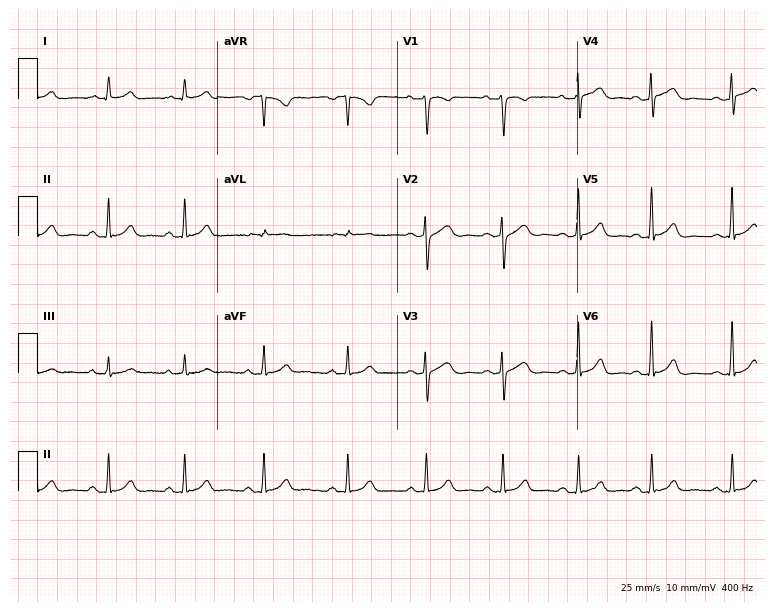
12-lead ECG from a female patient, 25 years old. Labelled as a normal ECG.